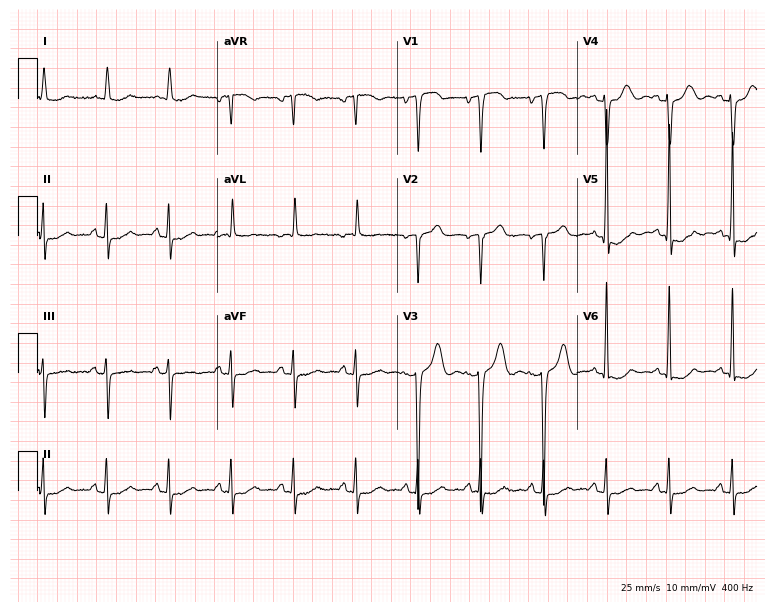
Electrocardiogram (7.3-second recording at 400 Hz), a woman, 82 years old. Of the six screened findings (first-degree AV block, right bundle branch block (RBBB), left bundle branch block (LBBB), sinus bradycardia, atrial fibrillation (AF), sinus tachycardia), none is recorded. Findings outside these six are not listed.